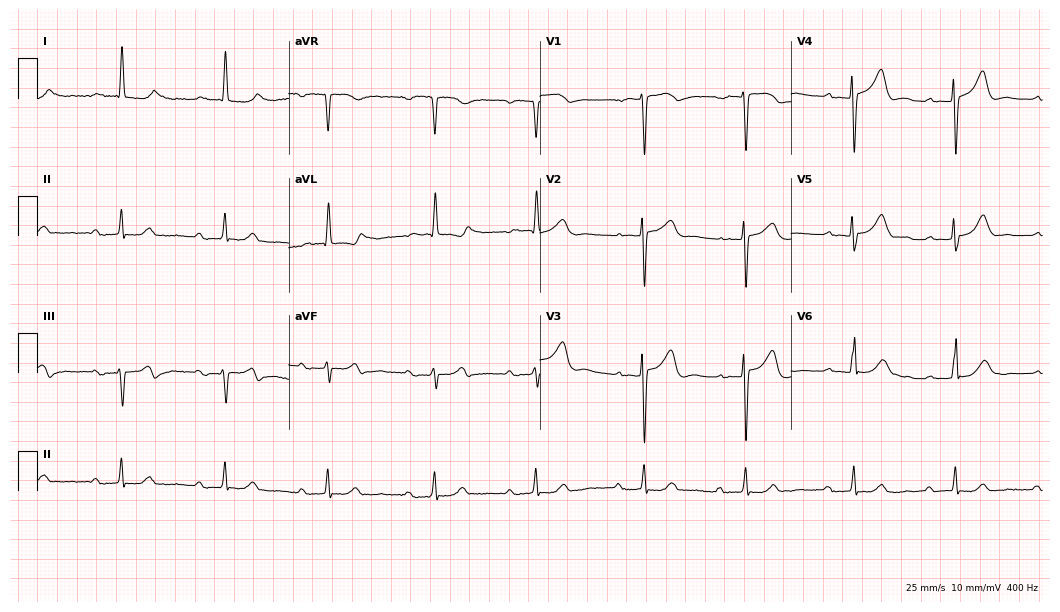
Electrocardiogram, a 78-year-old woman. Overall reading on record: normal ECG.